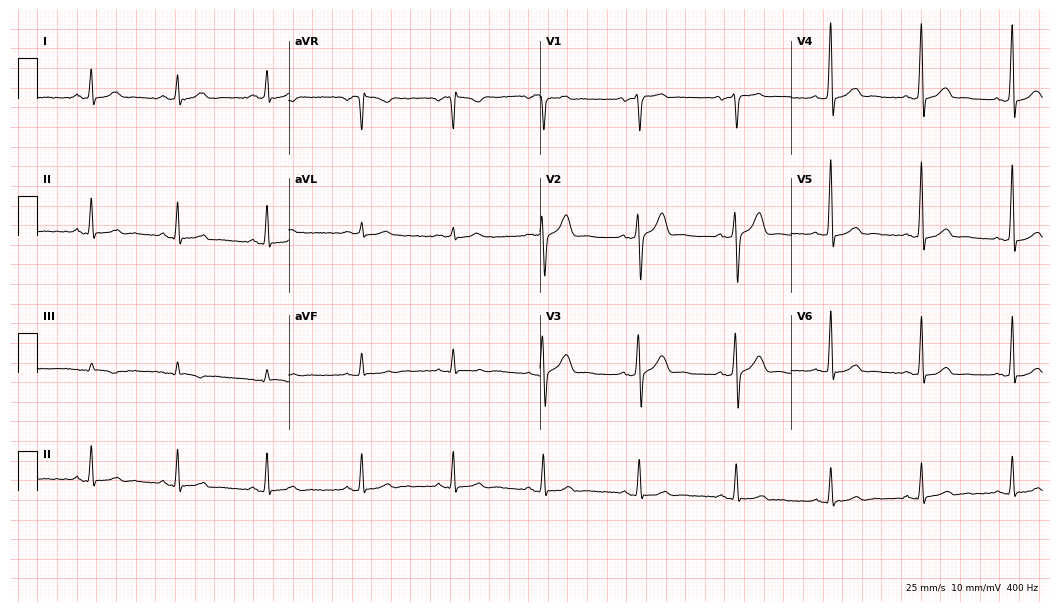
Standard 12-lead ECG recorded from a female patient, 58 years old. Read as a normal ECG.